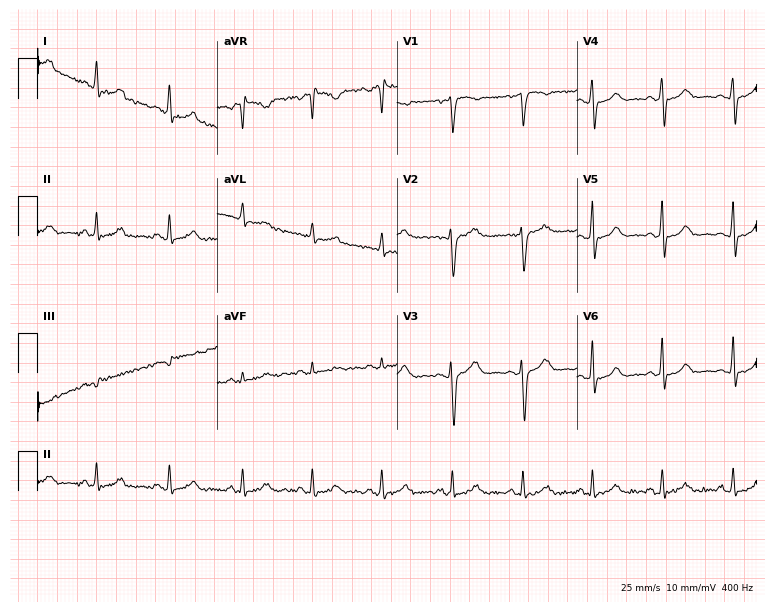
Resting 12-lead electrocardiogram (7.3-second recording at 400 Hz). Patient: a 38-year-old female. None of these six findings is recorded: first-degree AV block, right bundle branch block, left bundle branch block, sinus bradycardia, atrial fibrillation, sinus tachycardia. Findings outside these six are not listed.